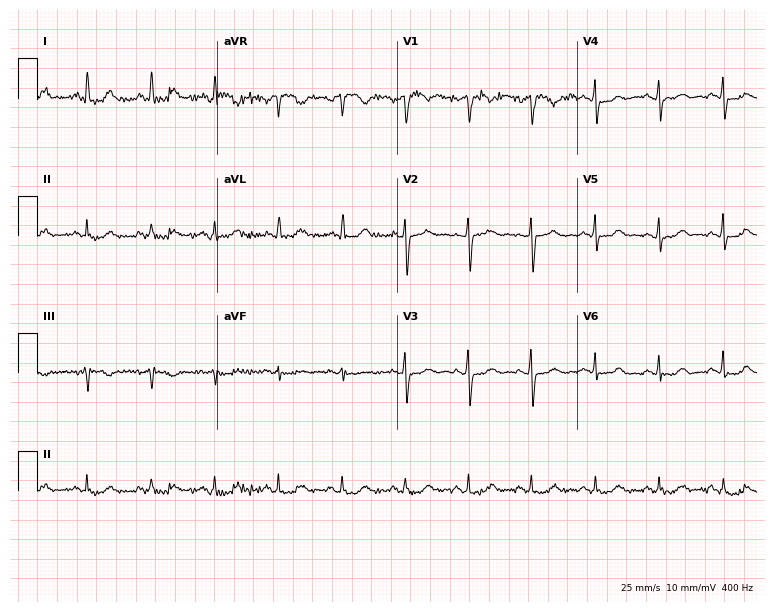
Resting 12-lead electrocardiogram (7.3-second recording at 400 Hz). Patient: a 58-year-old female. Read as a normal ECG.